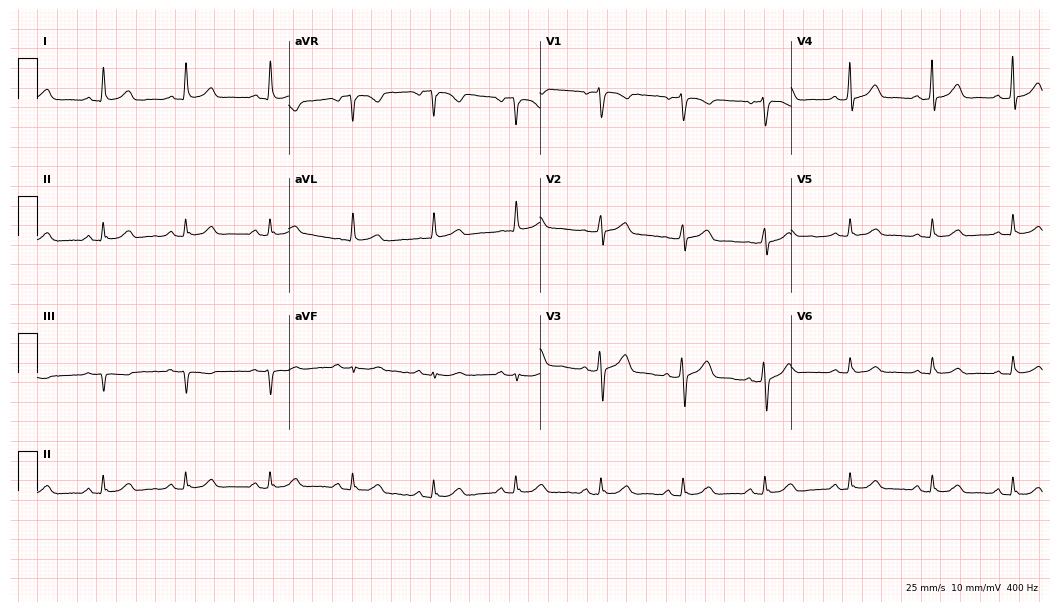
12-lead ECG (10.2-second recording at 400 Hz) from a female patient, 58 years old. Labelled as a normal ECG.